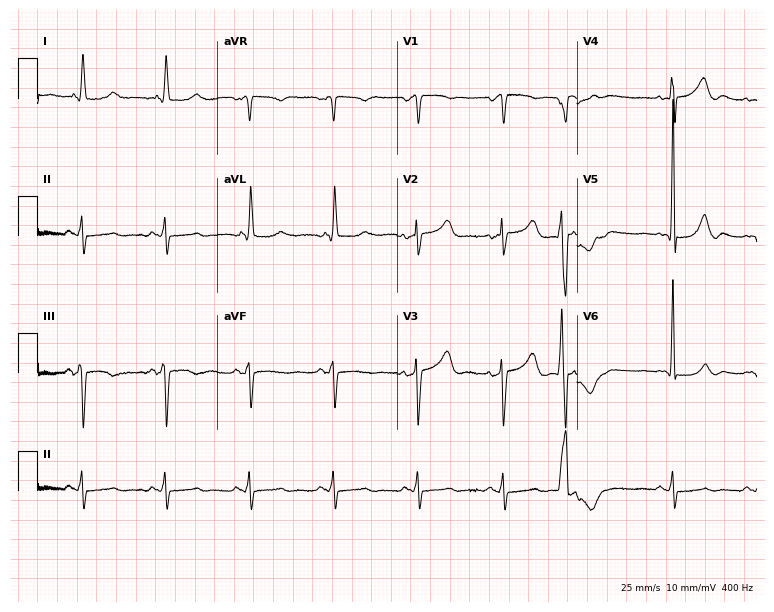
Electrocardiogram (7.3-second recording at 400 Hz), a 73-year-old female. Of the six screened findings (first-degree AV block, right bundle branch block, left bundle branch block, sinus bradycardia, atrial fibrillation, sinus tachycardia), none is recorded.